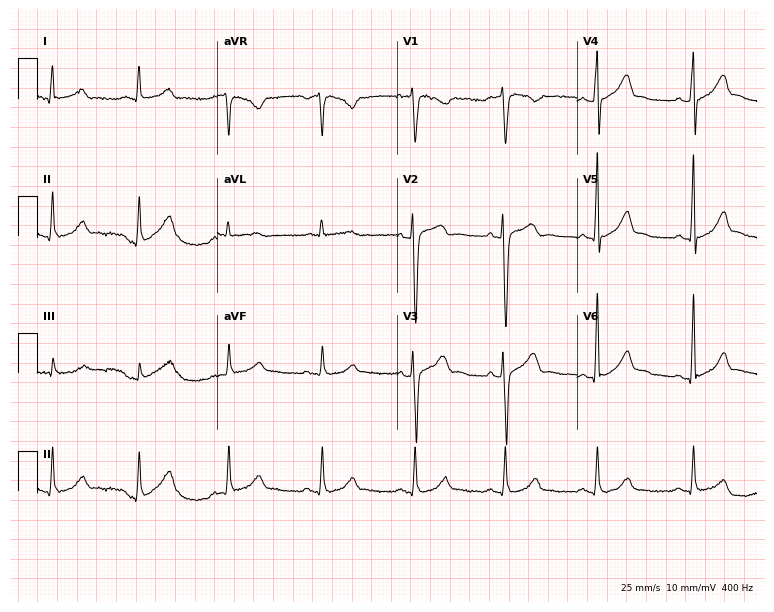
Standard 12-lead ECG recorded from a man, 38 years old. Read as a normal ECG.